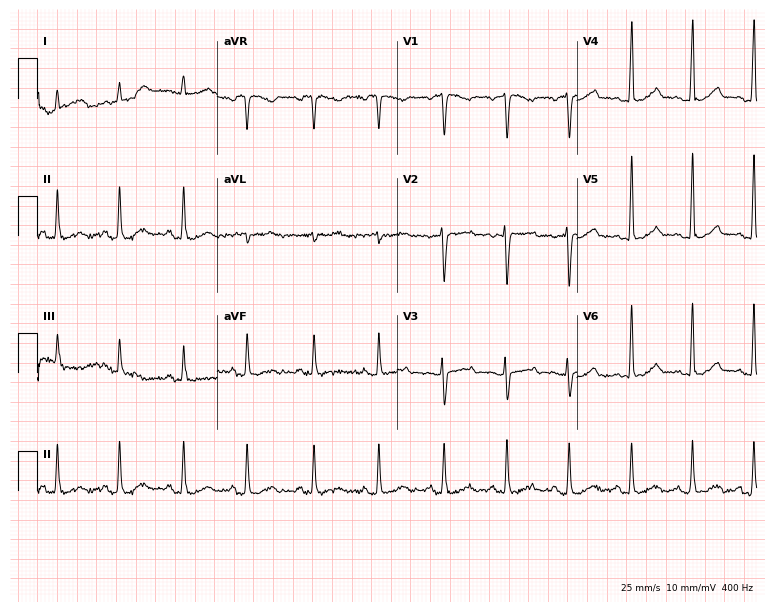
ECG (7.3-second recording at 400 Hz) — a 20-year-old male patient. Labelled as a normal ECG.